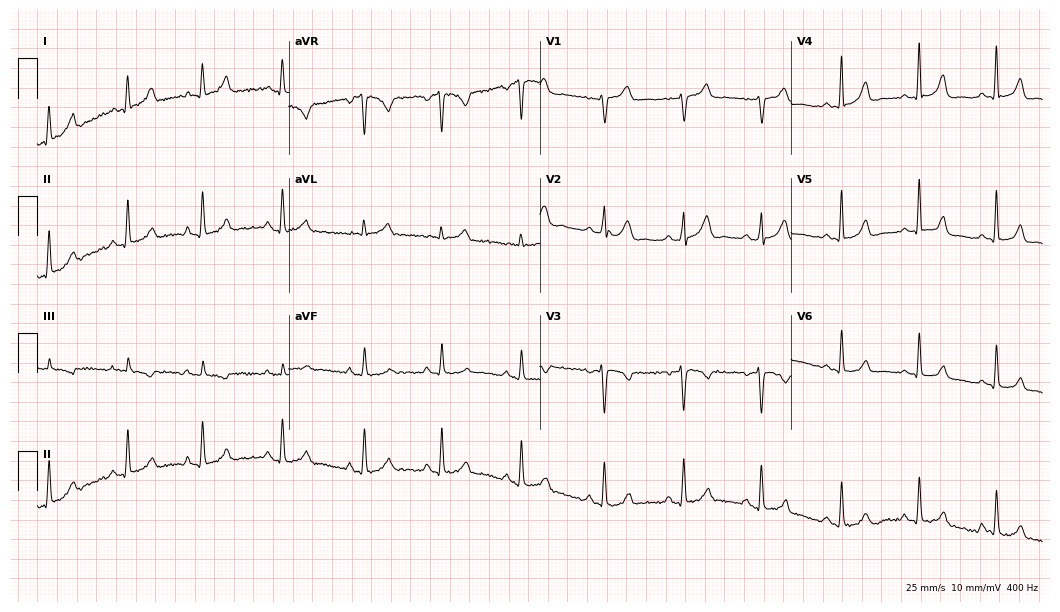
12-lead ECG from a 47-year-old female (10.2-second recording at 400 Hz). Recorded interpretation: within normal limits.